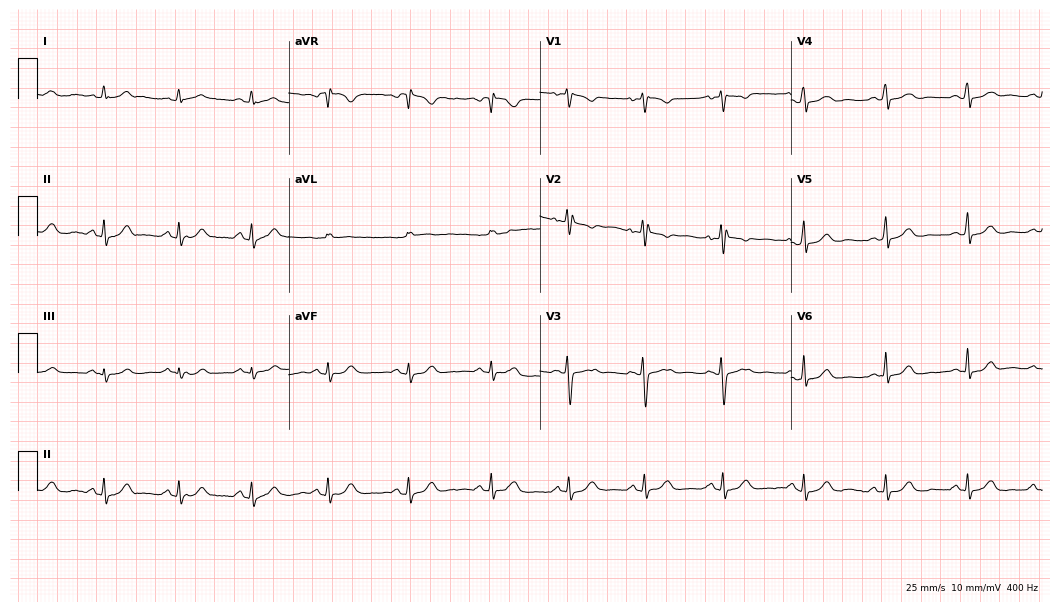
ECG (10.2-second recording at 400 Hz) — a 22-year-old female patient. Labelled as a normal ECG.